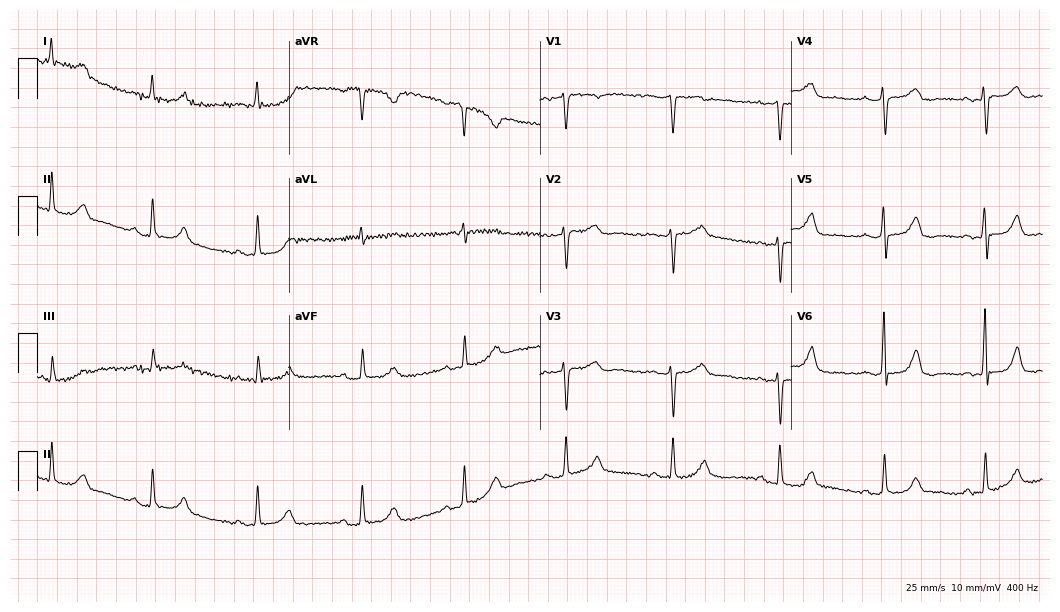
Resting 12-lead electrocardiogram. Patient: a female, 75 years old. None of these six findings is recorded: first-degree AV block, right bundle branch block, left bundle branch block, sinus bradycardia, atrial fibrillation, sinus tachycardia.